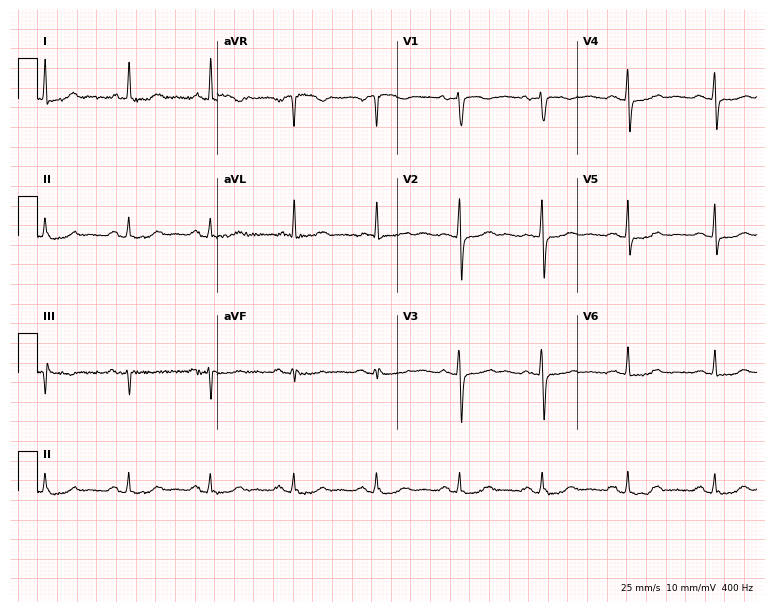
ECG (7.3-second recording at 400 Hz) — a female, 70 years old. Screened for six findings — first-degree AV block, right bundle branch block, left bundle branch block, sinus bradycardia, atrial fibrillation, sinus tachycardia — none is recorded.